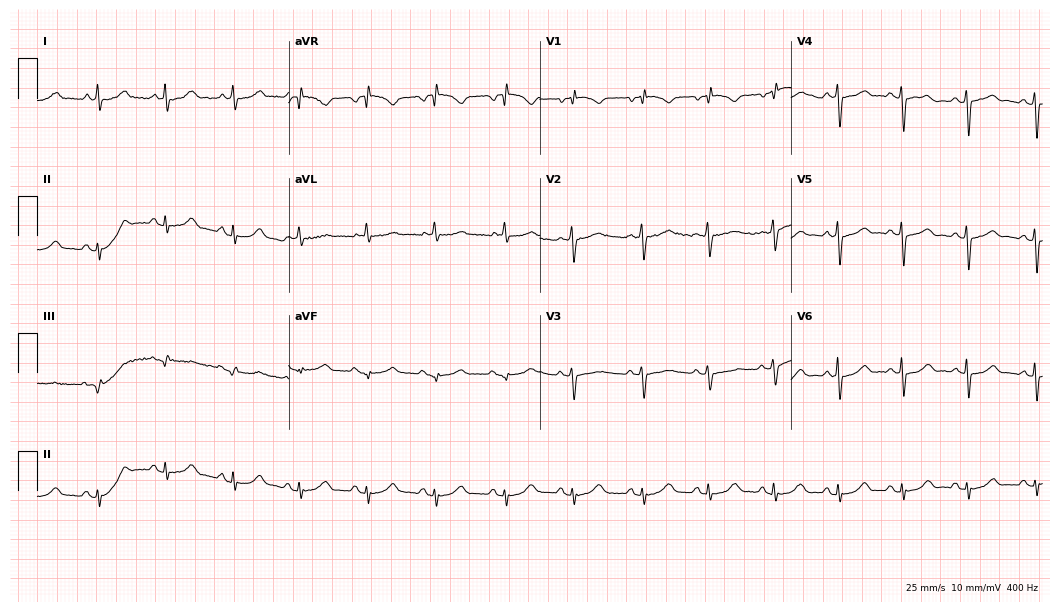
Resting 12-lead electrocardiogram. Patient: a 67-year-old female. None of these six findings is recorded: first-degree AV block, right bundle branch block, left bundle branch block, sinus bradycardia, atrial fibrillation, sinus tachycardia.